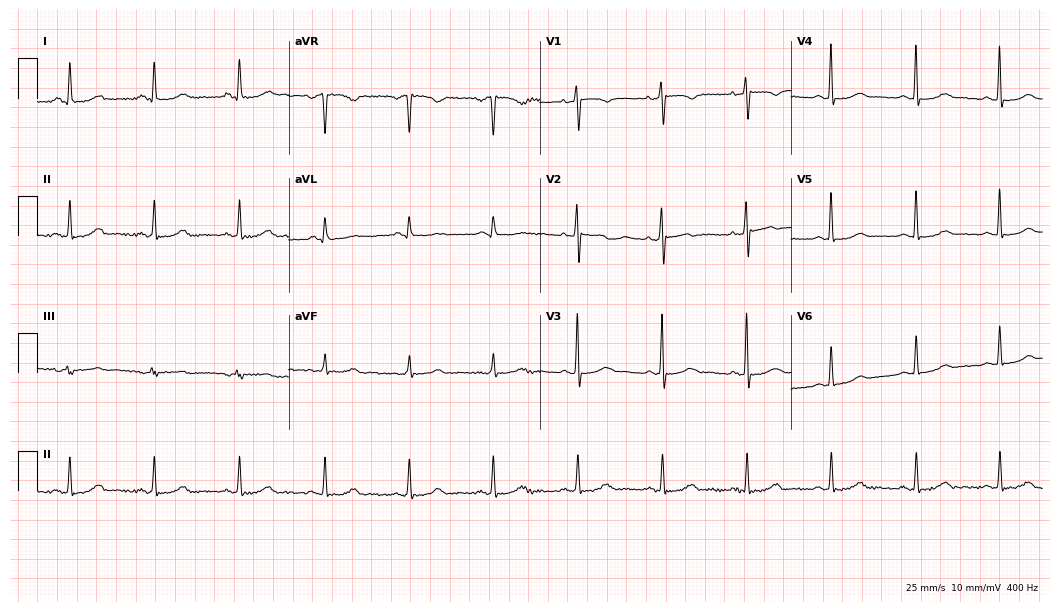
Electrocardiogram (10.2-second recording at 400 Hz), a 54-year-old female patient. Overall reading on record: normal ECG.